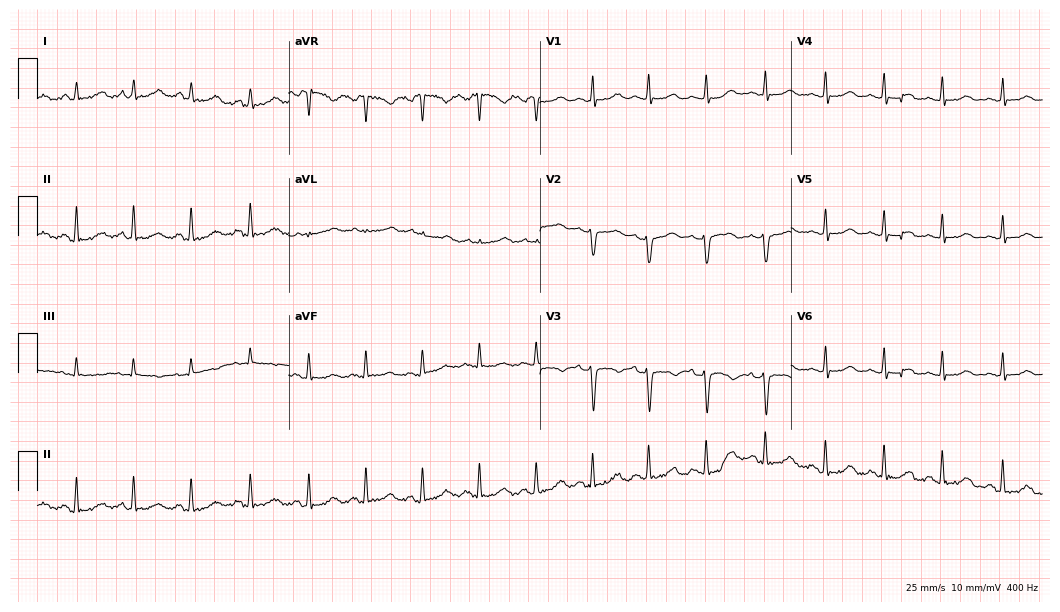
ECG (10.2-second recording at 400 Hz) — a 40-year-old female patient. Labelled as a normal ECG.